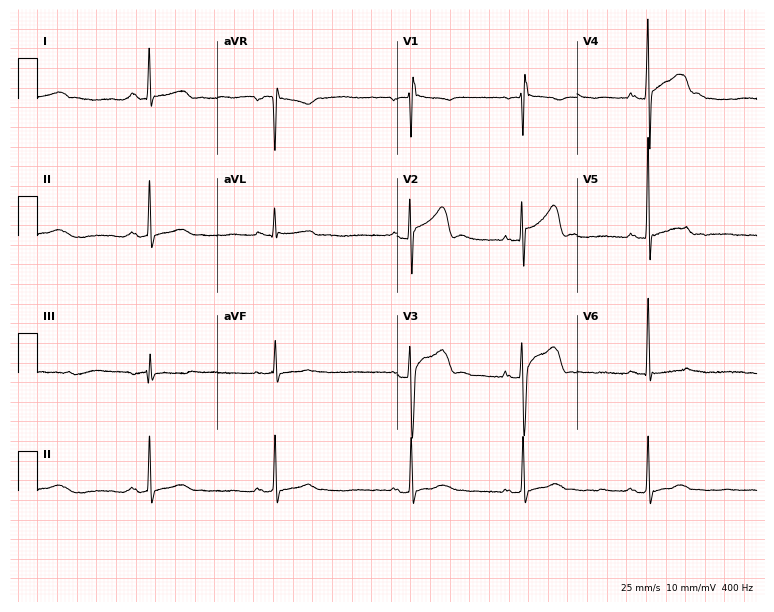
12-lead ECG (7.3-second recording at 400 Hz) from a man, 31 years old. Screened for six findings — first-degree AV block, right bundle branch block, left bundle branch block, sinus bradycardia, atrial fibrillation, sinus tachycardia — none is recorded.